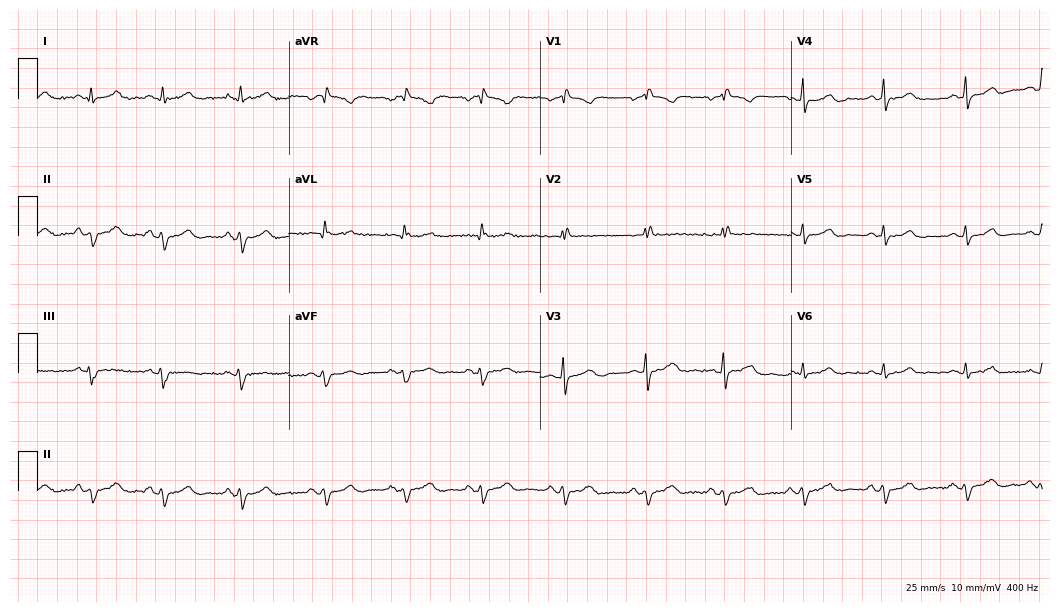
12-lead ECG from a female, 50 years old. No first-degree AV block, right bundle branch block (RBBB), left bundle branch block (LBBB), sinus bradycardia, atrial fibrillation (AF) or sinus tachycardia recorded for this tracing. Other findings, if any, are not listed.